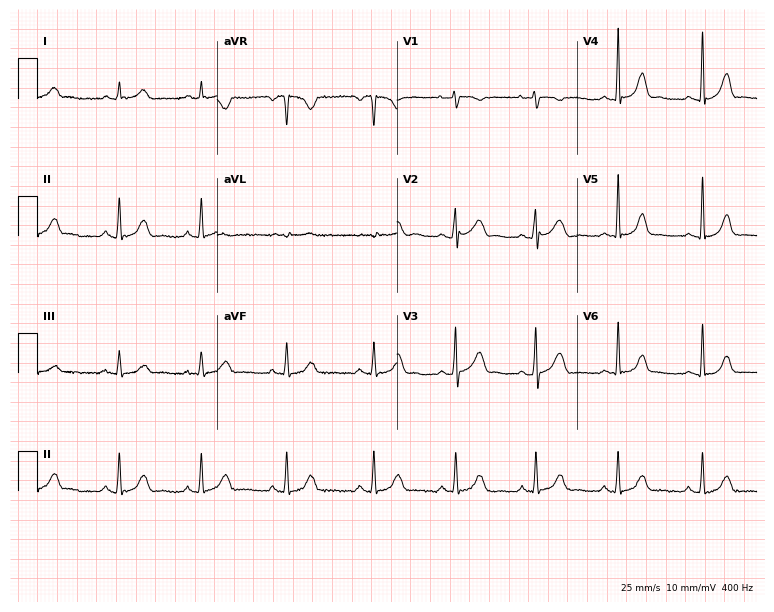
12-lead ECG from a female patient, 25 years old. Labelled as a normal ECG.